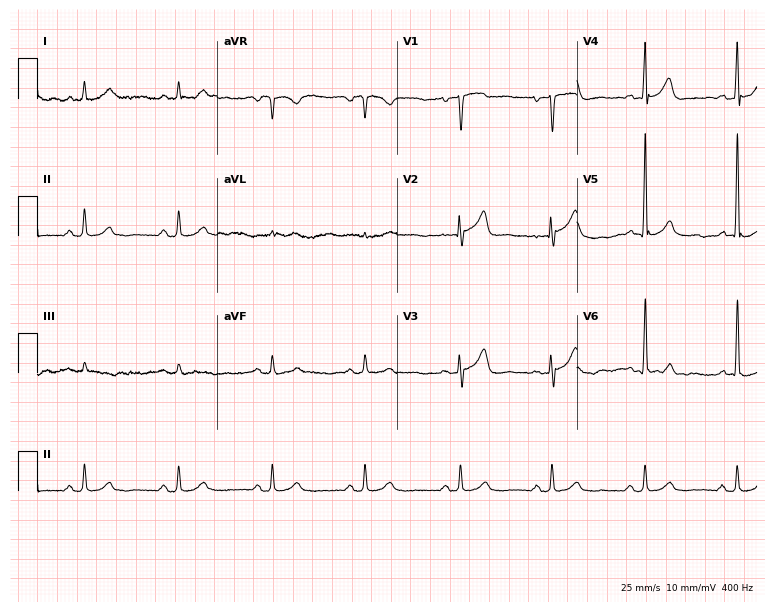
Resting 12-lead electrocardiogram (7.3-second recording at 400 Hz). Patient: a male, 84 years old. Read as a normal ECG.